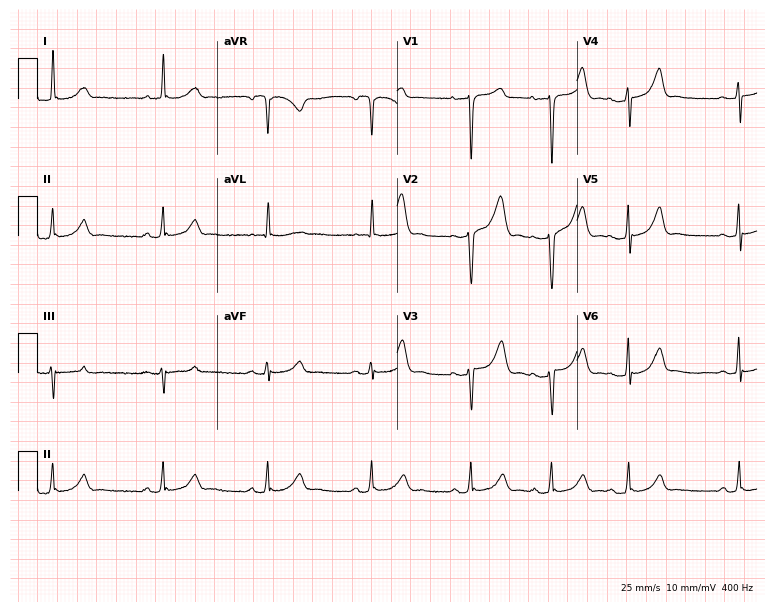
Electrocardiogram, a female, 57 years old. Overall reading on record: normal ECG.